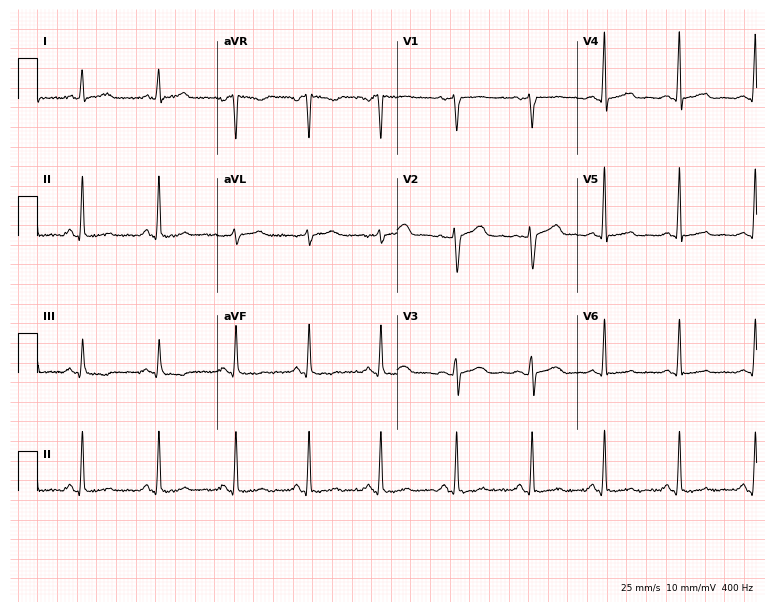
ECG (7.3-second recording at 400 Hz) — a 29-year-old woman. Screened for six findings — first-degree AV block, right bundle branch block, left bundle branch block, sinus bradycardia, atrial fibrillation, sinus tachycardia — none is recorded. Other findings, if any, are not listed.